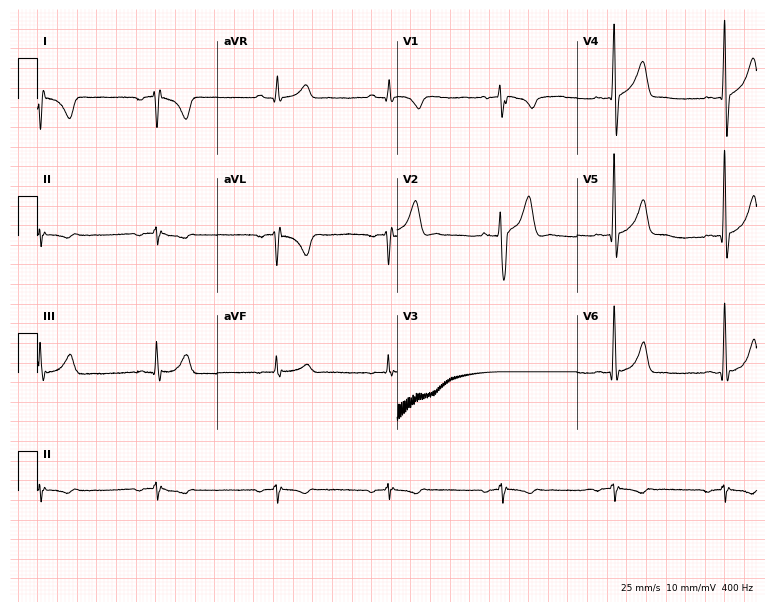
Electrocardiogram (7.3-second recording at 400 Hz), a male patient, 34 years old. Of the six screened findings (first-degree AV block, right bundle branch block (RBBB), left bundle branch block (LBBB), sinus bradycardia, atrial fibrillation (AF), sinus tachycardia), none is recorded.